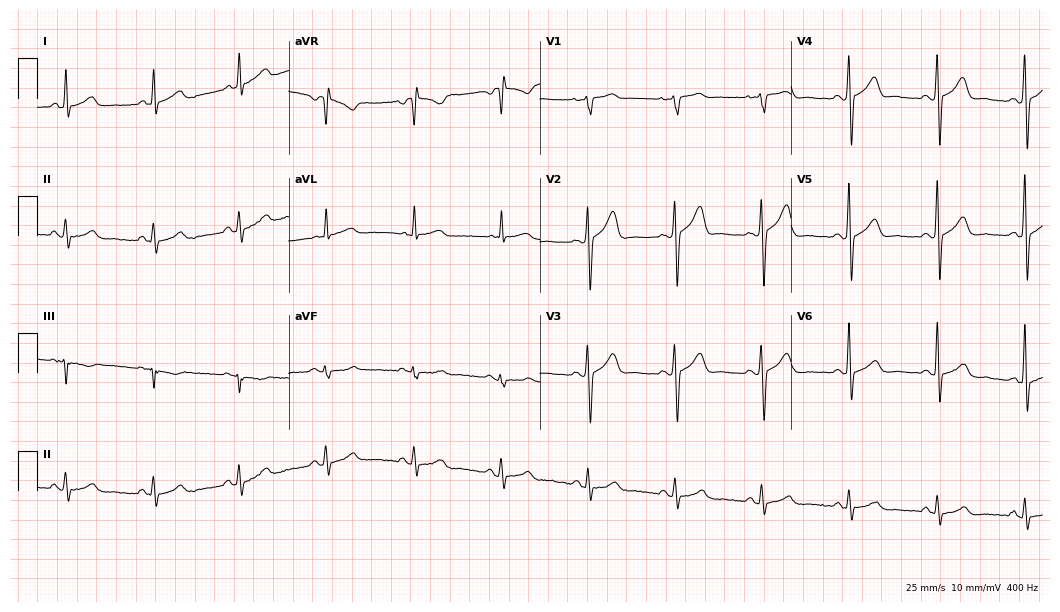
Electrocardiogram, a male, 60 years old. Overall reading on record: normal ECG.